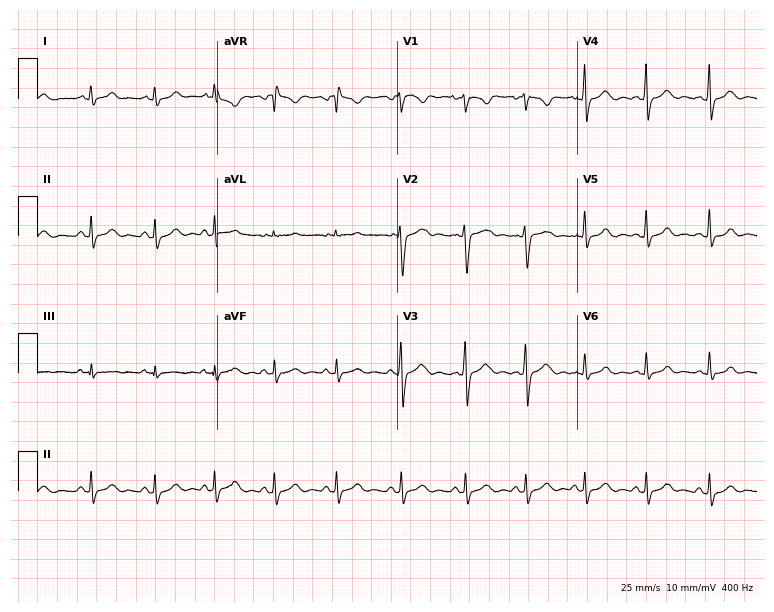
ECG (7.3-second recording at 400 Hz) — a 23-year-old woman. Screened for six findings — first-degree AV block, right bundle branch block (RBBB), left bundle branch block (LBBB), sinus bradycardia, atrial fibrillation (AF), sinus tachycardia — none is recorded.